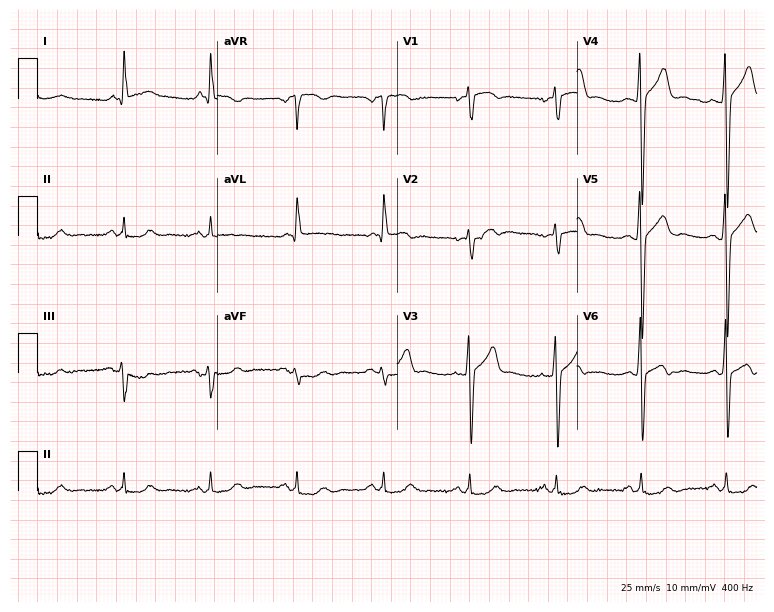
Resting 12-lead electrocardiogram. Patient: a male, 51 years old. None of these six findings is recorded: first-degree AV block, right bundle branch block, left bundle branch block, sinus bradycardia, atrial fibrillation, sinus tachycardia.